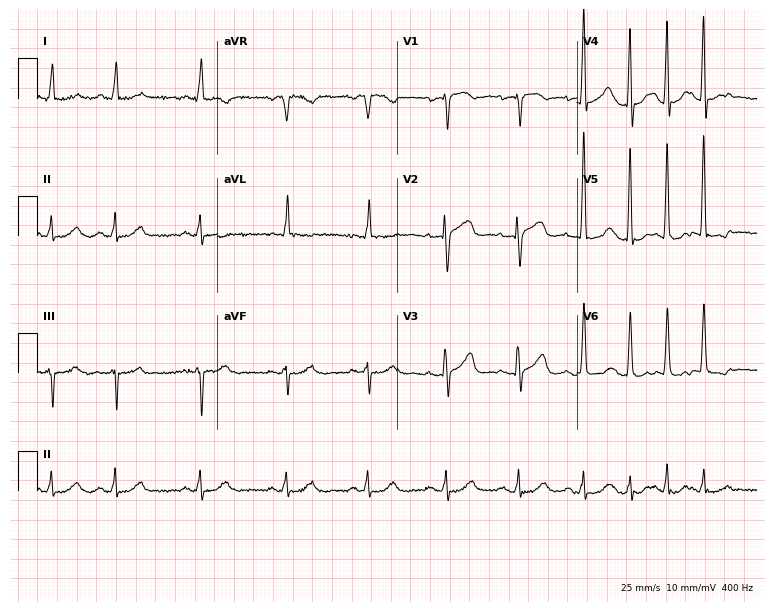
Resting 12-lead electrocardiogram (7.3-second recording at 400 Hz). Patient: an 85-year-old female. None of these six findings is recorded: first-degree AV block, right bundle branch block (RBBB), left bundle branch block (LBBB), sinus bradycardia, atrial fibrillation (AF), sinus tachycardia. Findings outside these six are not listed.